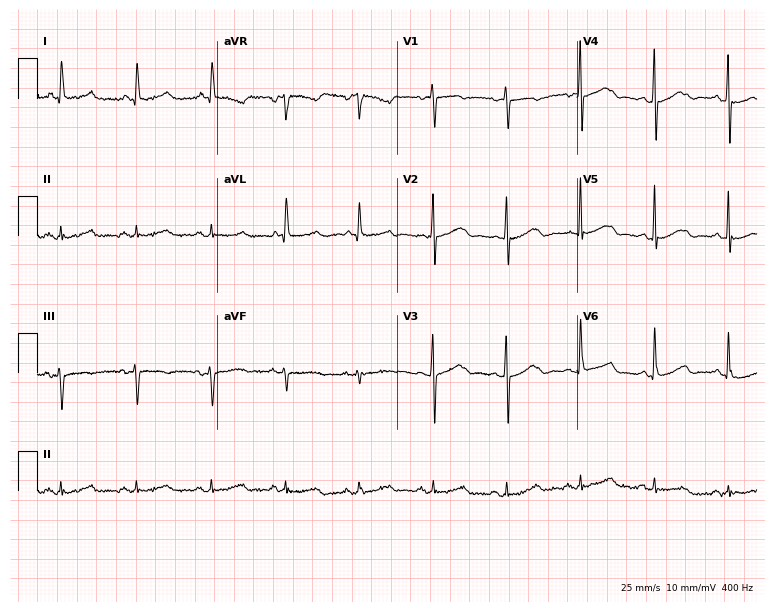
Standard 12-lead ECG recorded from a female patient, 79 years old (7.3-second recording at 400 Hz). Read as a normal ECG.